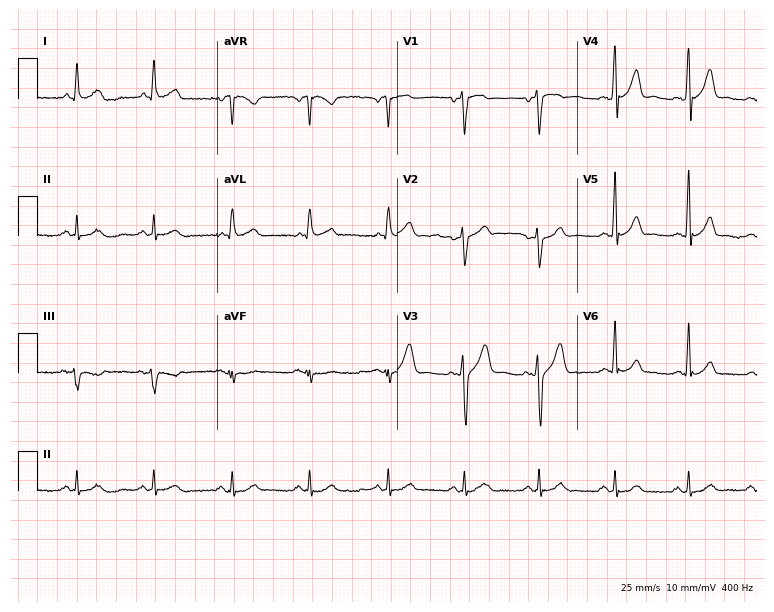
Electrocardiogram, a 49-year-old man. Overall reading on record: normal ECG.